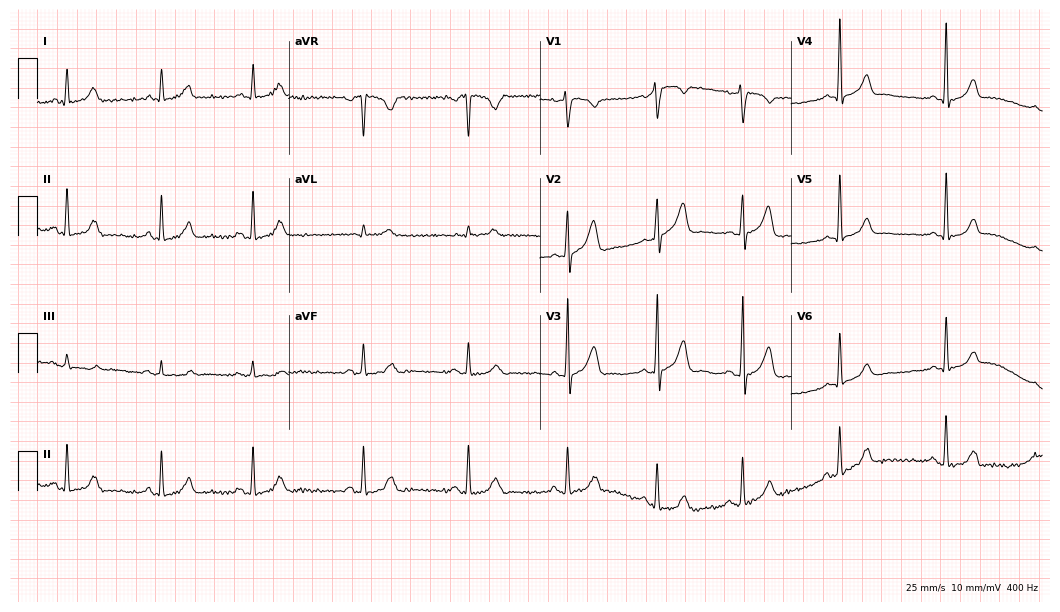
12-lead ECG from a male, 30 years old. No first-degree AV block, right bundle branch block, left bundle branch block, sinus bradycardia, atrial fibrillation or sinus tachycardia recorded for this tracing.